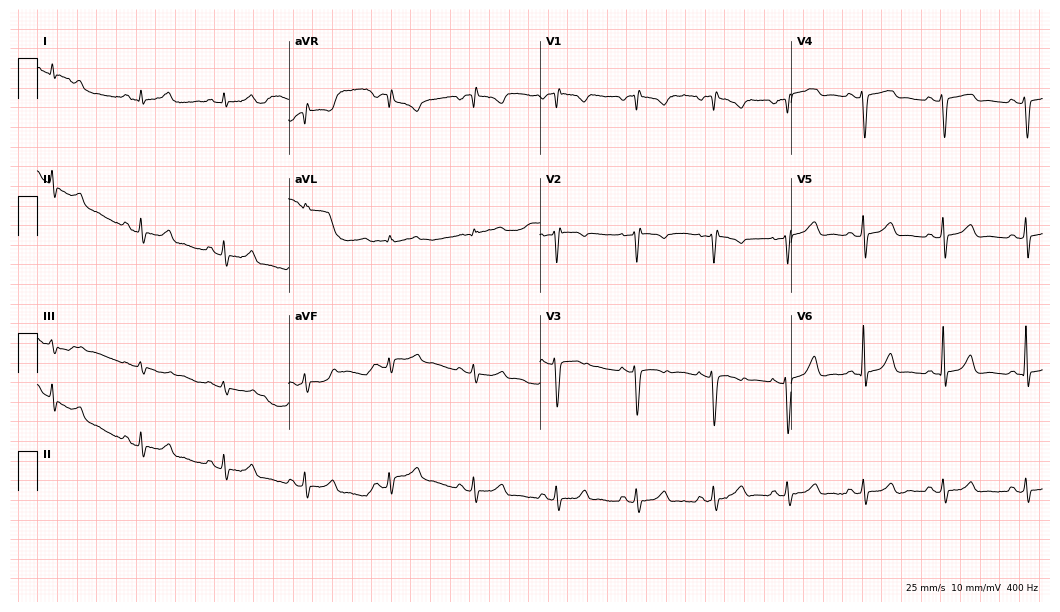
ECG (10.2-second recording at 400 Hz) — a 26-year-old female. Screened for six findings — first-degree AV block, right bundle branch block, left bundle branch block, sinus bradycardia, atrial fibrillation, sinus tachycardia — none is recorded. Findings outside these six are not listed.